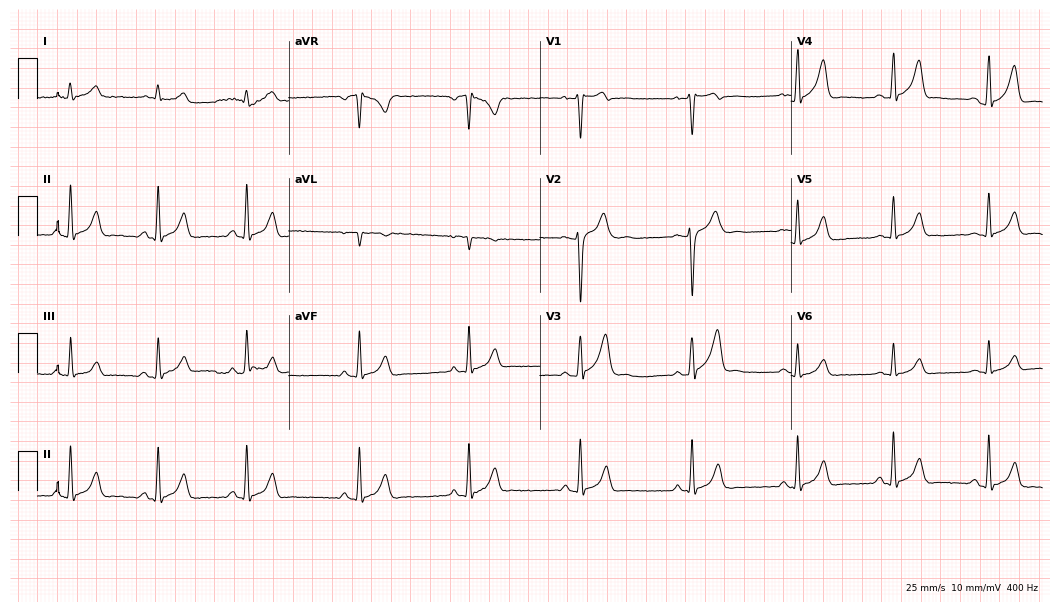
12-lead ECG from a 21-year-old male patient. Screened for six findings — first-degree AV block, right bundle branch block, left bundle branch block, sinus bradycardia, atrial fibrillation, sinus tachycardia — none is recorded.